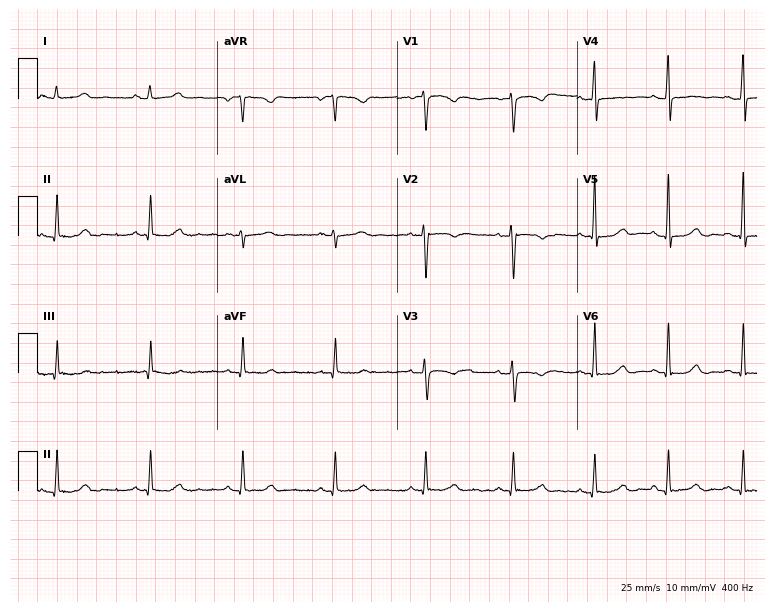
Electrocardiogram (7.3-second recording at 400 Hz), a 43-year-old female patient. Of the six screened findings (first-degree AV block, right bundle branch block (RBBB), left bundle branch block (LBBB), sinus bradycardia, atrial fibrillation (AF), sinus tachycardia), none is recorded. Findings outside these six are not listed.